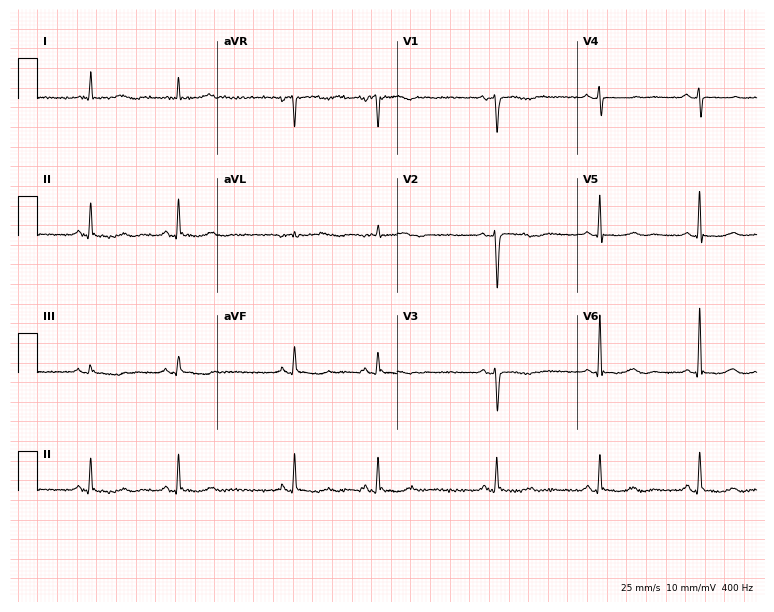
Electrocardiogram, a female patient, 75 years old. Of the six screened findings (first-degree AV block, right bundle branch block, left bundle branch block, sinus bradycardia, atrial fibrillation, sinus tachycardia), none is recorded. Findings outside these six are not listed.